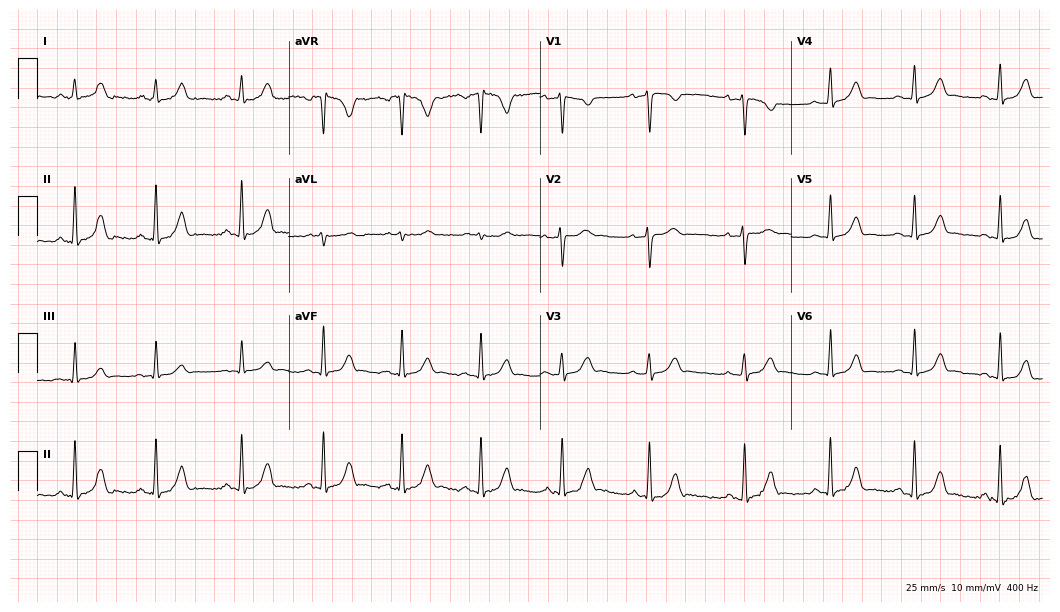
12-lead ECG from a woman, 20 years old (10.2-second recording at 400 Hz). Recorded interpretation: within normal limits.